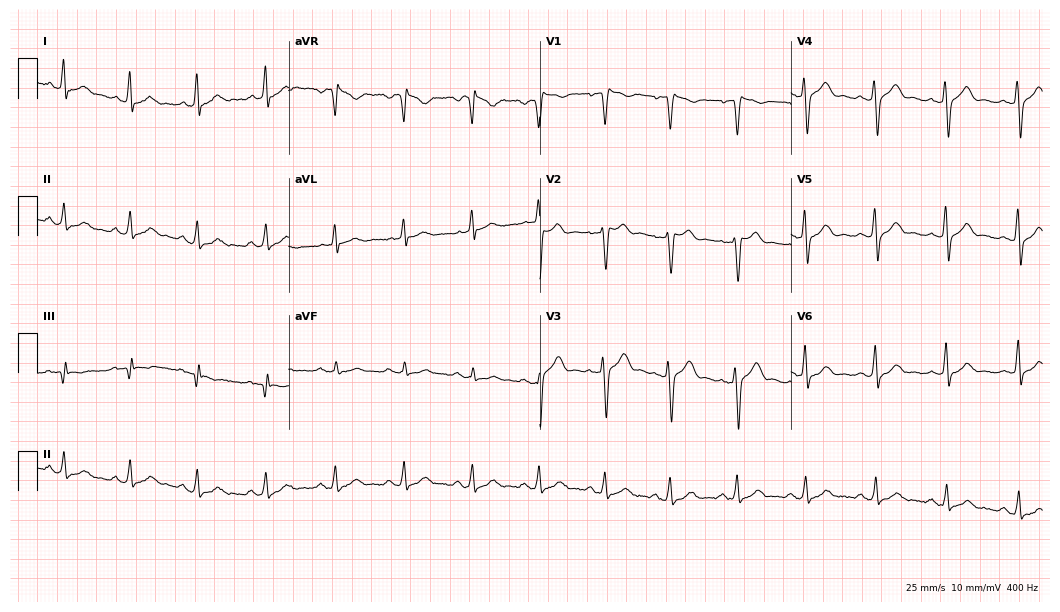
ECG (10.2-second recording at 400 Hz) — a male patient, 35 years old. Labelled as a normal ECG.